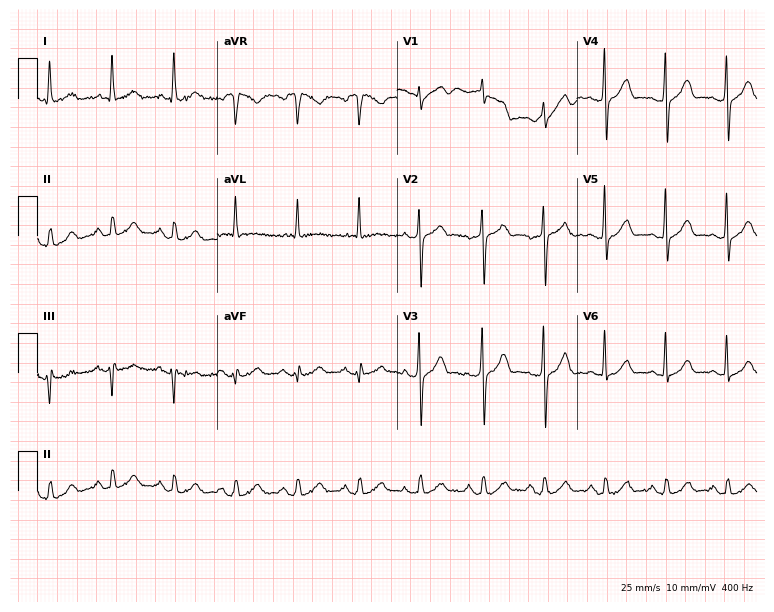
12-lead ECG from a 62-year-old male patient (7.3-second recording at 400 Hz). Recorded interpretation: within normal limits.